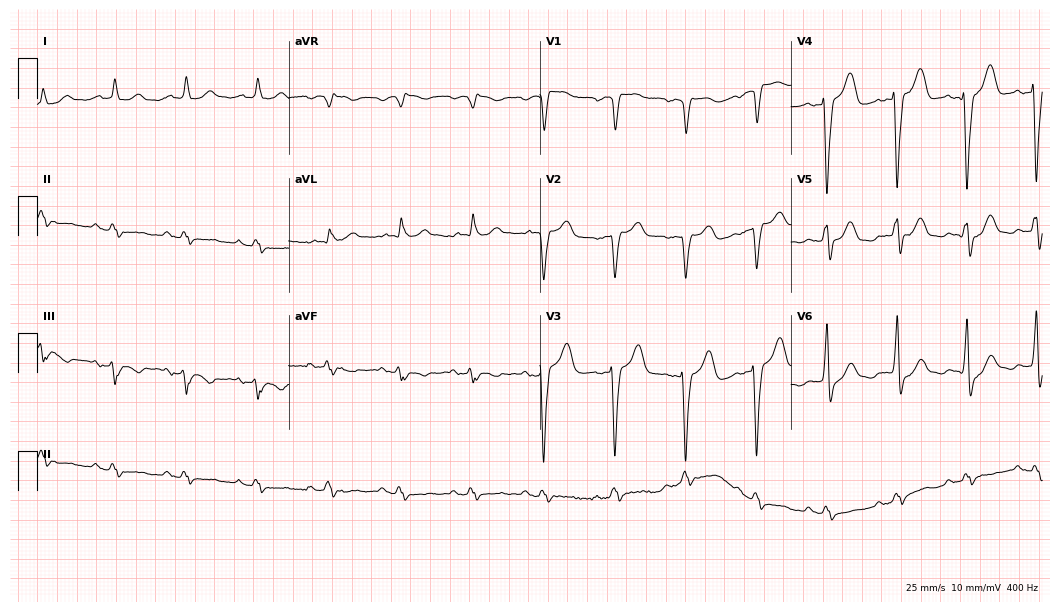
Resting 12-lead electrocardiogram. Patient: a 78-year-old male. None of these six findings is recorded: first-degree AV block, right bundle branch block (RBBB), left bundle branch block (LBBB), sinus bradycardia, atrial fibrillation (AF), sinus tachycardia. Other findings, if any, are not listed.